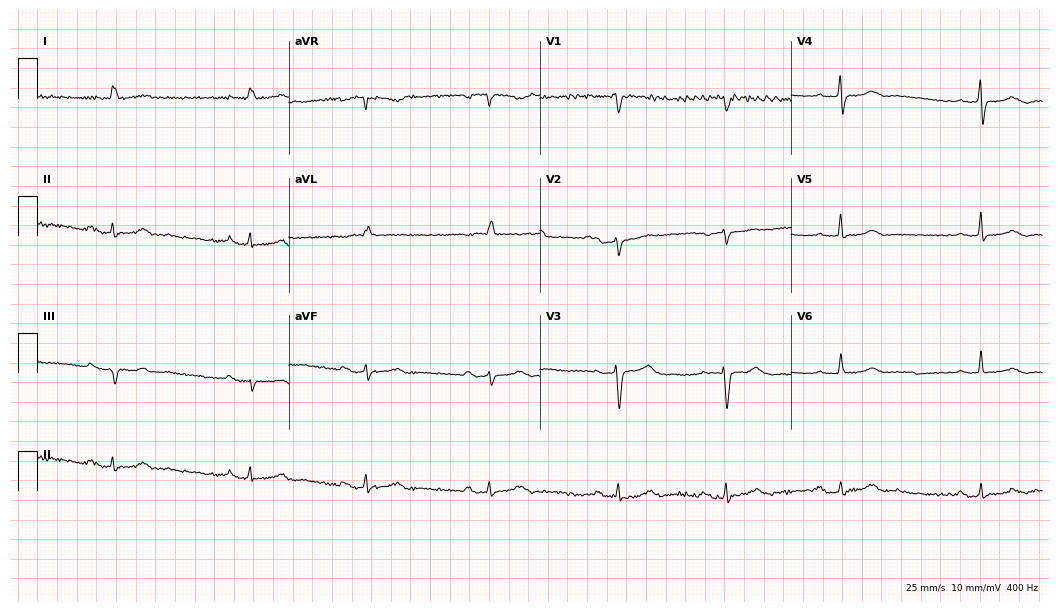
ECG — a female patient, 74 years old. Findings include first-degree AV block.